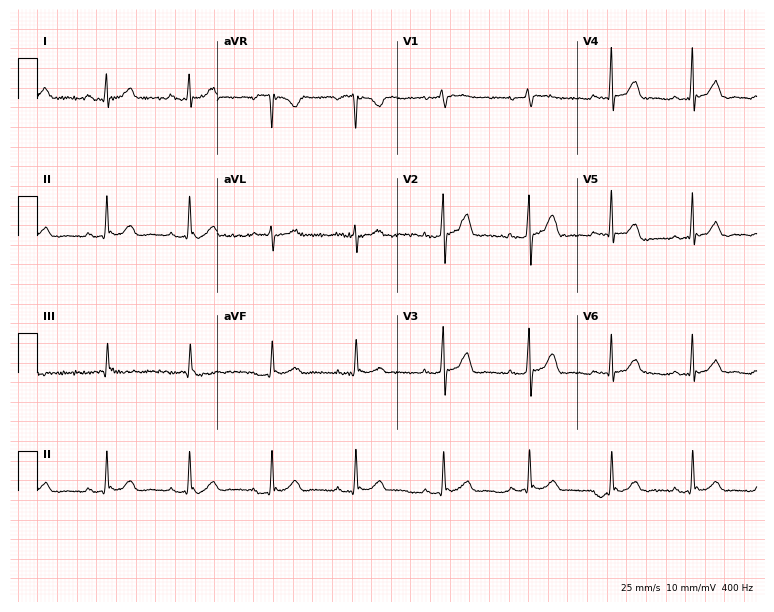
ECG — a man, 50 years old. Labelled as a normal ECG.